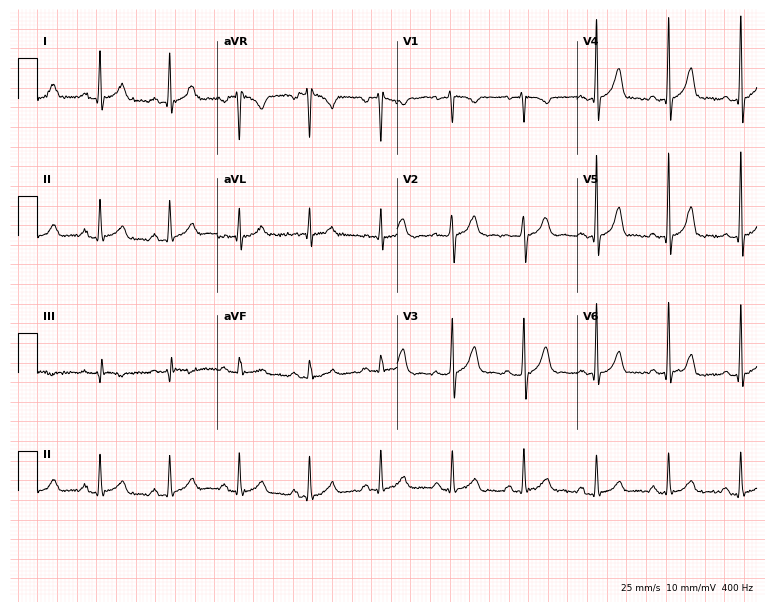
12-lead ECG from a 28-year-old female patient. Recorded interpretation: within normal limits.